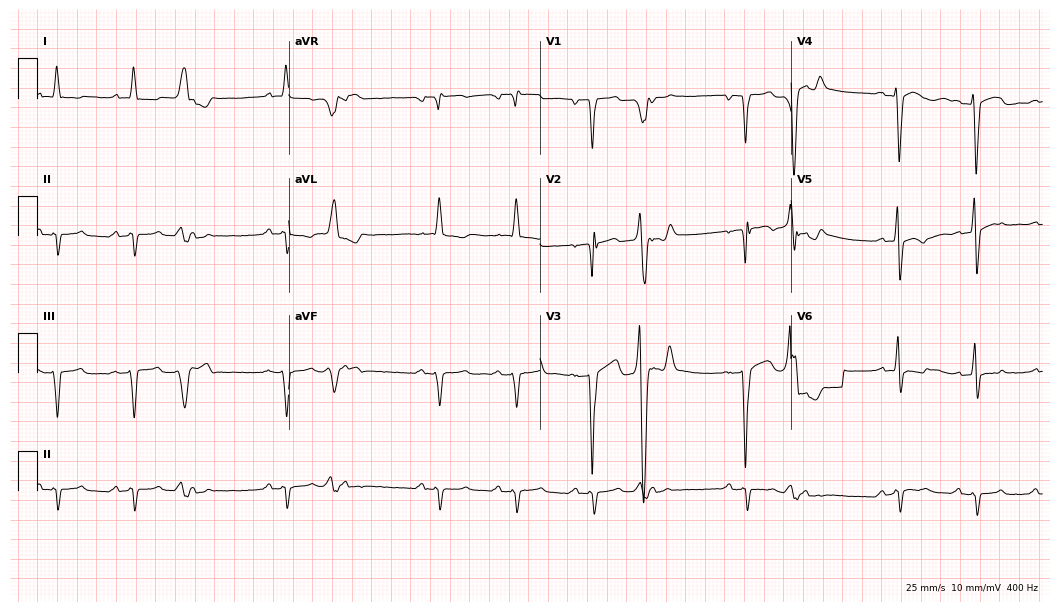
Electrocardiogram, a 60-year-old male patient. Of the six screened findings (first-degree AV block, right bundle branch block, left bundle branch block, sinus bradycardia, atrial fibrillation, sinus tachycardia), none is recorded. Other findings, if any, are not listed.